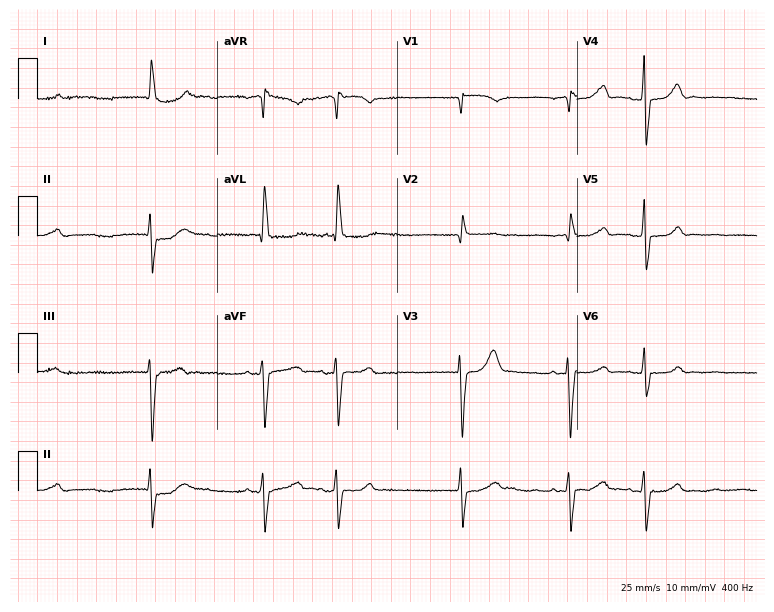
12-lead ECG (7.3-second recording at 400 Hz) from a female patient, 73 years old. Screened for six findings — first-degree AV block, right bundle branch block, left bundle branch block, sinus bradycardia, atrial fibrillation, sinus tachycardia — none is recorded. Other findings, if any, are not listed.